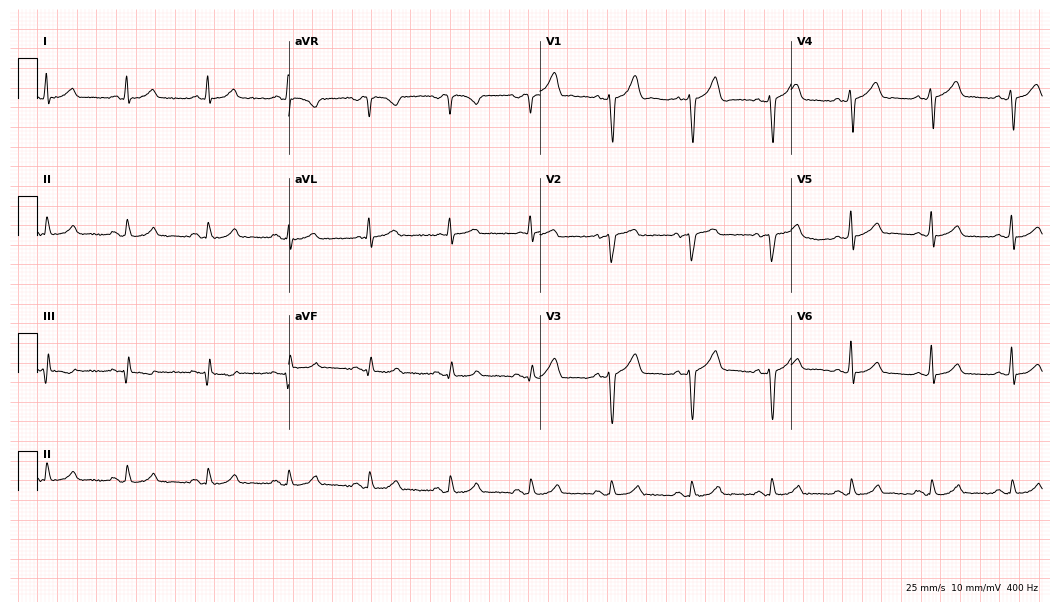
12-lead ECG (10.2-second recording at 400 Hz) from a 55-year-old man. Labelled as a normal ECG.